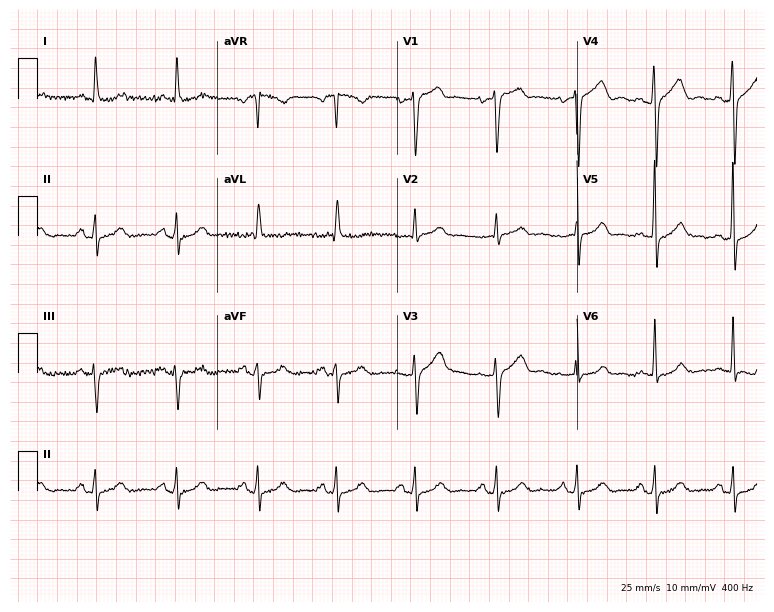
ECG — a 78-year-old man. Screened for six findings — first-degree AV block, right bundle branch block (RBBB), left bundle branch block (LBBB), sinus bradycardia, atrial fibrillation (AF), sinus tachycardia — none is recorded. Findings outside these six are not listed.